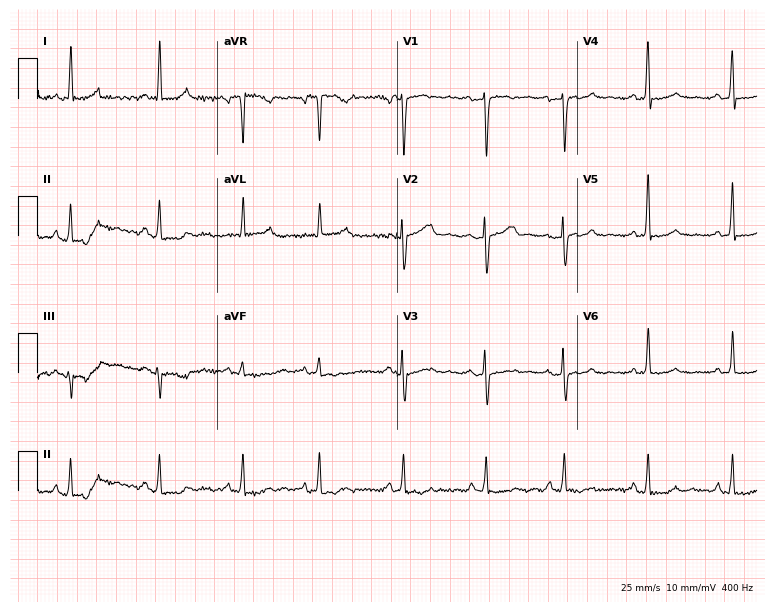
12-lead ECG from a 47-year-old female patient (7.3-second recording at 400 Hz). No first-degree AV block, right bundle branch block (RBBB), left bundle branch block (LBBB), sinus bradycardia, atrial fibrillation (AF) or sinus tachycardia recorded for this tracing. Only these six findings were labelled.